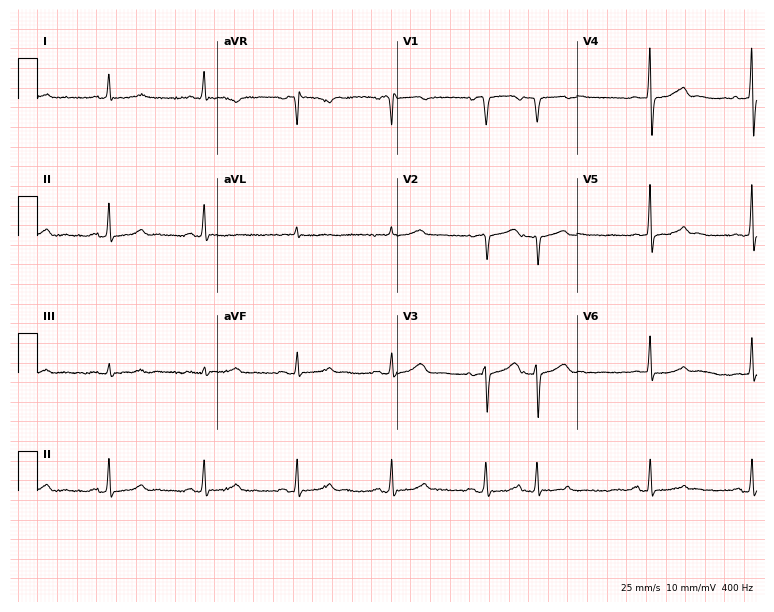
Standard 12-lead ECG recorded from a female patient, 71 years old (7.3-second recording at 400 Hz). None of these six findings is recorded: first-degree AV block, right bundle branch block, left bundle branch block, sinus bradycardia, atrial fibrillation, sinus tachycardia.